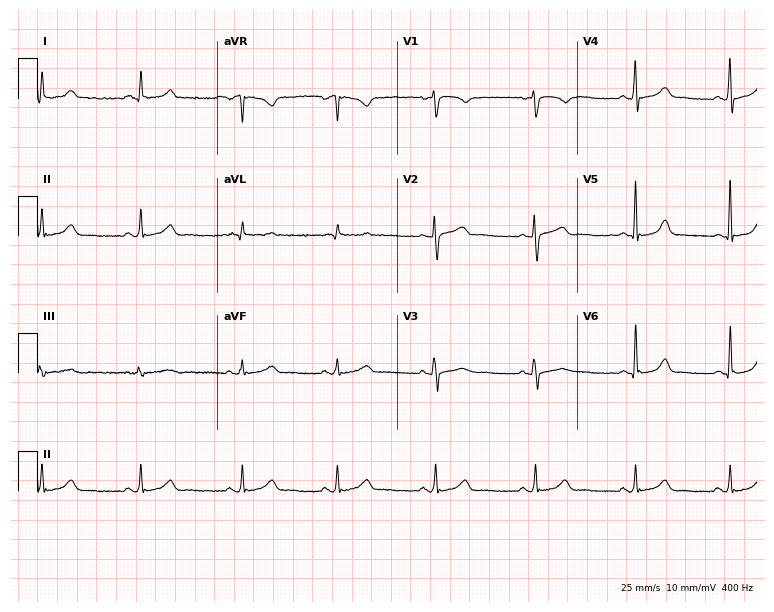
12-lead ECG from a 33-year-old female (7.3-second recording at 400 Hz). Recorded interpretation: within normal limits.